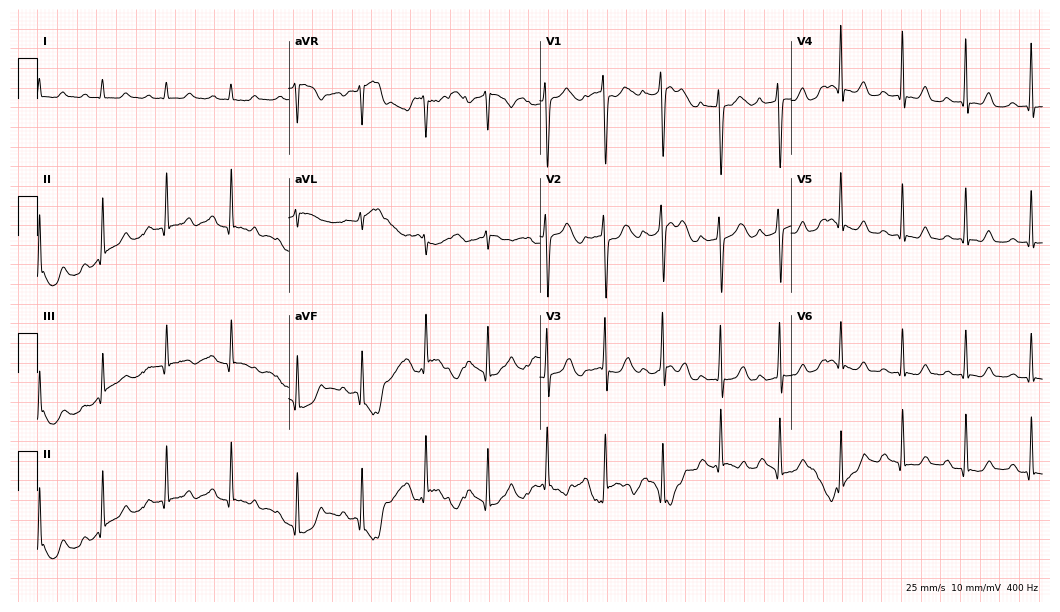
Standard 12-lead ECG recorded from a woman, 38 years old (10.2-second recording at 400 Hz). None of these six findings is recorded: first-degree AV block, right bundle branch block (RBBB), left bundle branch block (LBBB), sinus bradycardia, atrial fibrillation (AF), sinus tachycardia. Findings outside these six are not listed.